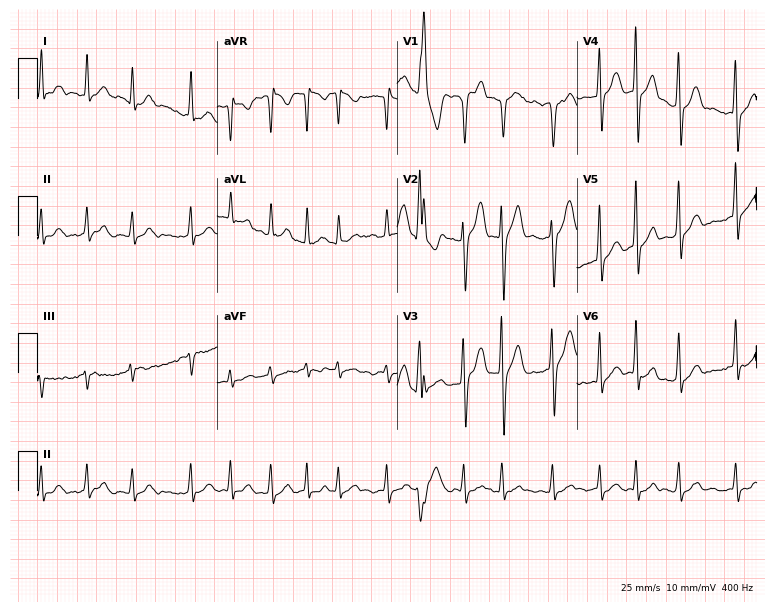
Electrocardiogram (7.3-second recording at 400 Hz), a man, 37 years old. Interpretation includes atrial fibrillation.